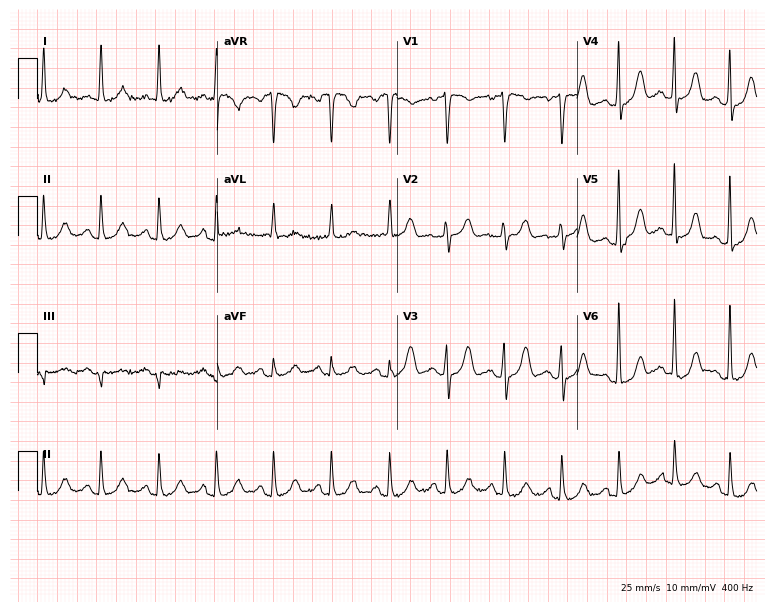
12-lead ECG from a 69-year-old woman (7.3-second recording at 400 Hz). No first-degree AV block, right bundle branch block, left bundle branch block, sinus bradycardia, atrial fibrillation or sinus tachycardia recorded for this tracing. Findings outside these six are not listed.